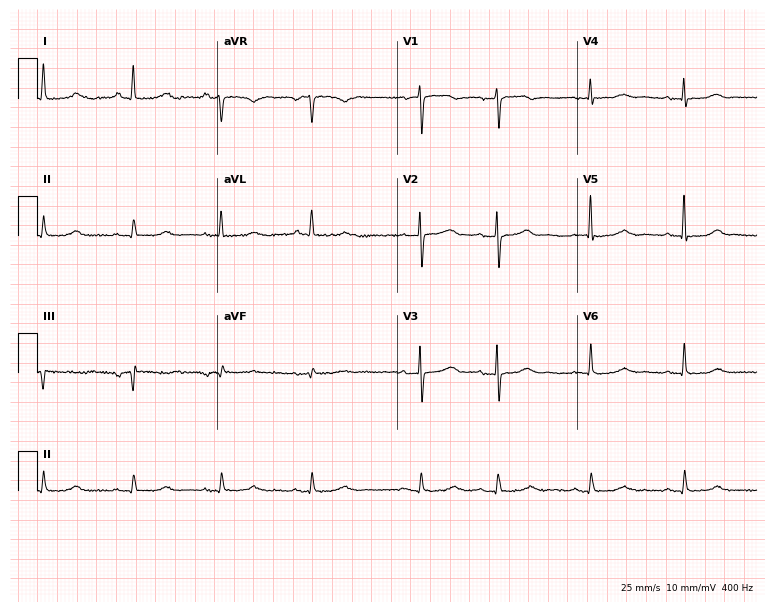
ECG (7.3-second recording at 400 Hz) — an 81-year-old female. Labelled as a normal ECG.